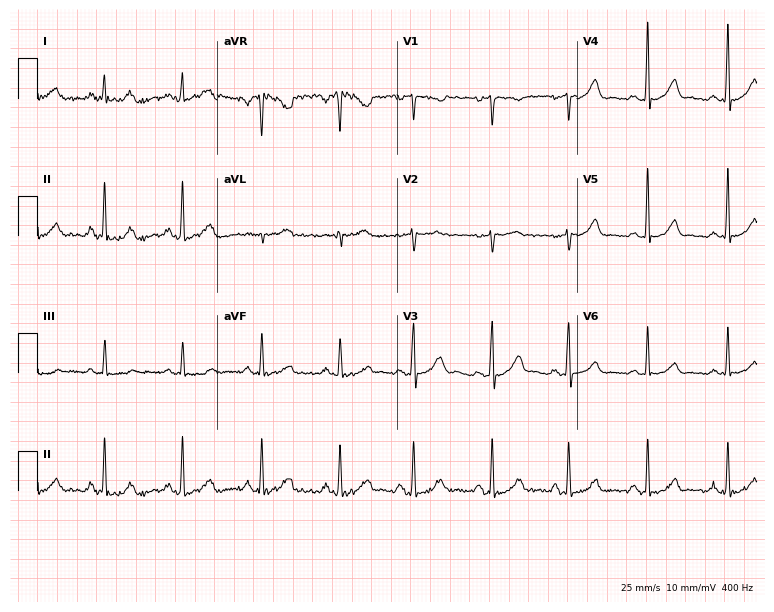
Electrocardiogram (7.3-second recording at 400 Hz), a woman, 40 years old. Overall reading on record: normal ECG.